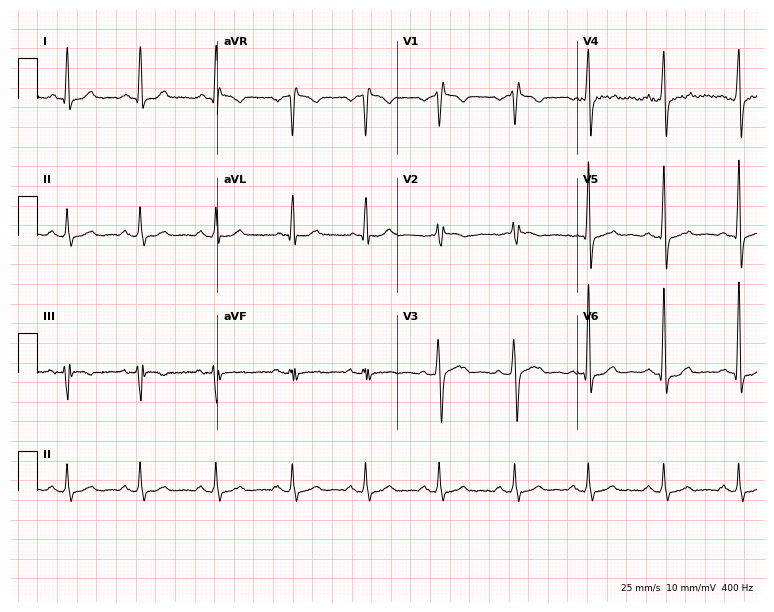
Standard 12-lead ECG recorded from a male, 26 years old (7.3-second recording at 400 Hz). None of these six findings is recorded: first-degree AV block, right bundle branch block (RBBB), left bundle branch block (LBBB), sinus bradycardia, atrial fibrillation (AF), sinus tachycardia. Findings outside these six are not listed.